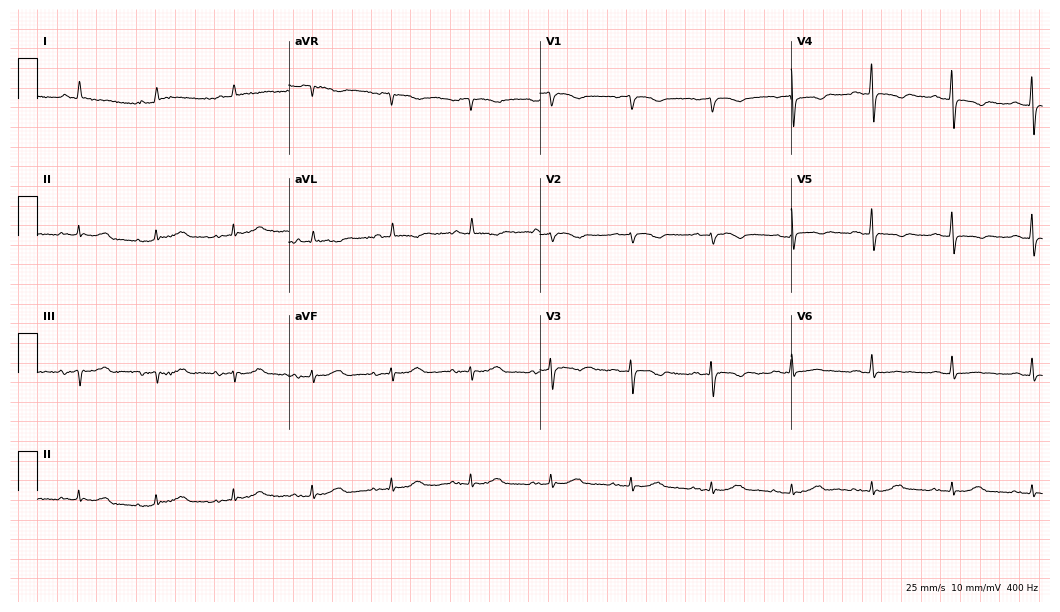
ECG (10.2-second recording at 400 Hz) — a male patient, 61 years old. Screened for six findings — first-degree AV block, right bundle branch block (RBBB), left bundle branch block (LBBB), sinus bradycardia, atrial fibrillation (AF), sinus tachycardia — none is recorded. Other findings, if any, are not listed.